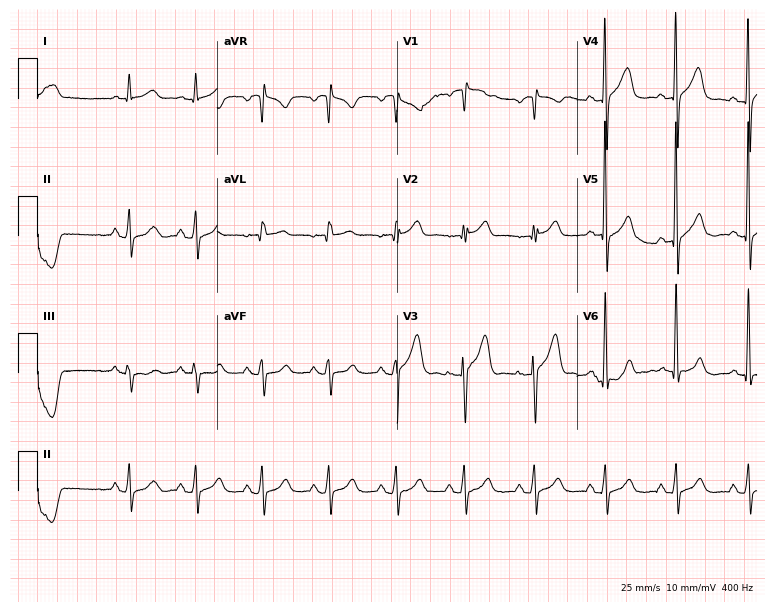
Standard 12-lead ECG recorded from a 77-year-old man. None of these six findings is recorded: first-degree AV block, right bundle branch block, left bundle branch block, sinus bradycardia, atrial fibrillation, sinus tachycardia. Other findings, if any, are not listed.